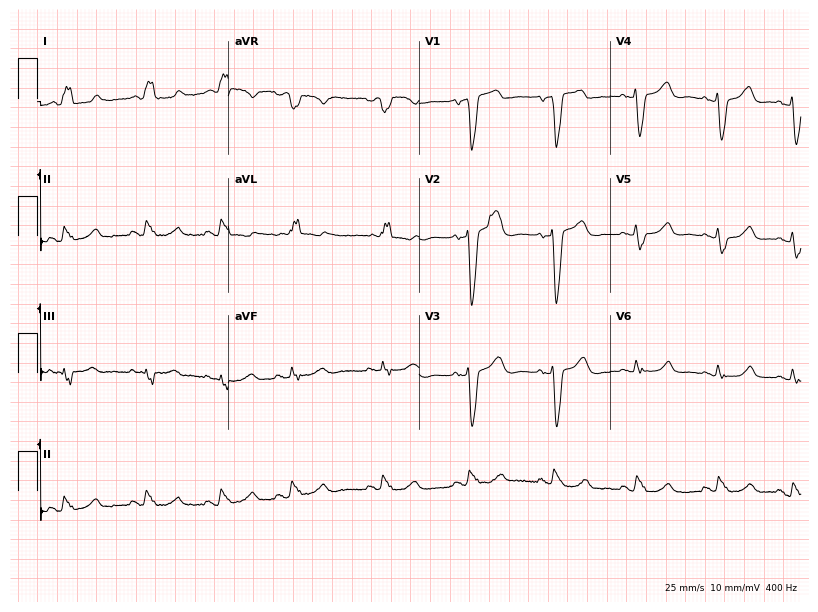
Resting 12-lead electrocardiogram. Patient: a woman, 86 years old. The tracing shows left bundle branch block, atrial fibrillation.